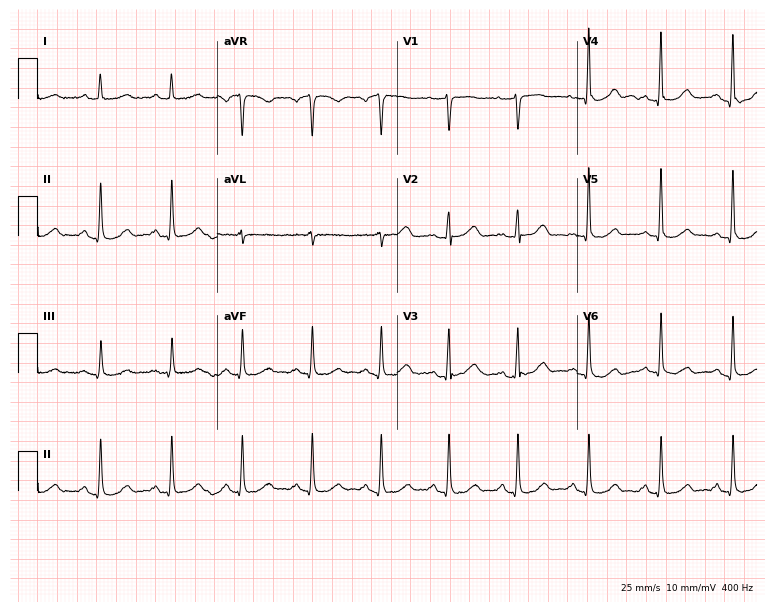
Standard 12-lead ECG recorded from a 48-year-old female patient. None of these six findings is recorded: first-degree AV block, right bundle branch block, left bundle branch block, sinus bradycardia, atrial fibrillation, sinus tachycardia. Only these six findings were labelled.